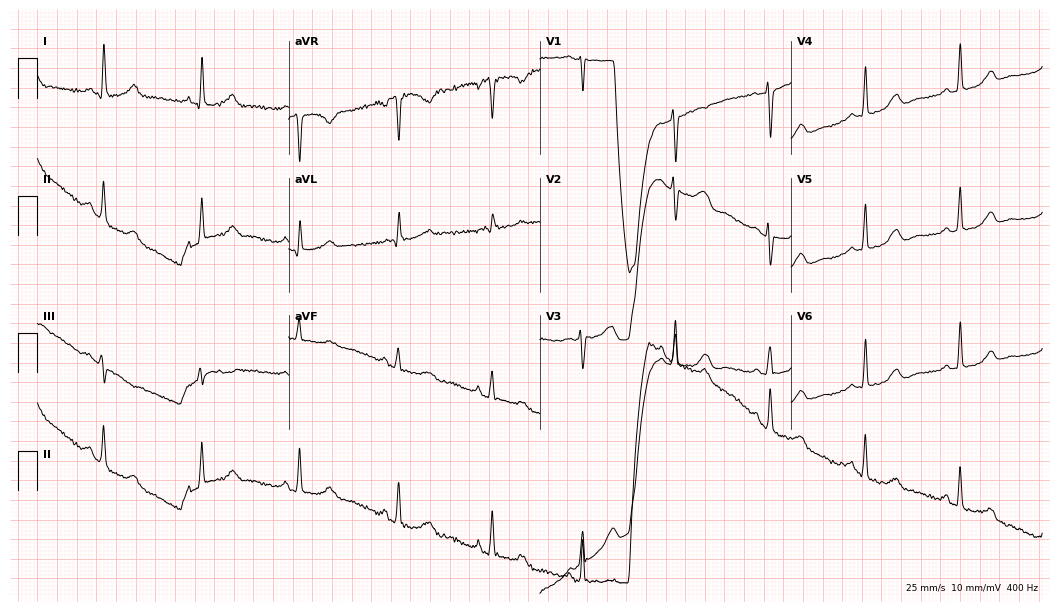
Resting 12-lead electrocardiogram. Patient: a female, 57 years old. None of these six findings is recorded: first-degree AV block, right bundle branch block, left bundle branch block, sinus bradycardia, atrial fibrillation, sinus tachycardia. Only these six findings were labelled.